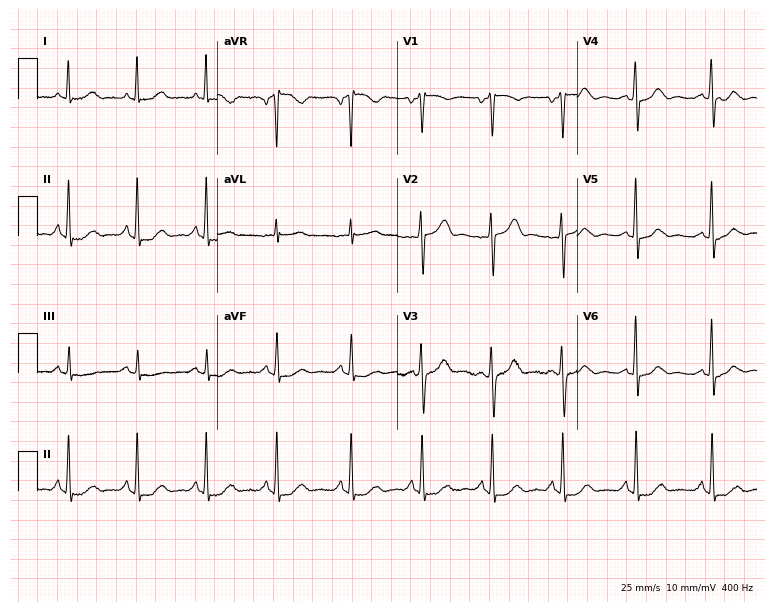
12-lead ECG from a woman, 58 years old. Screened for six findings — first-degree AV block, right bundle branch block, left bundle branch block, sinus bradycardia, atrial fibrillation, sinus tachycardia — none is recorded. Findings outside these six are not listed.